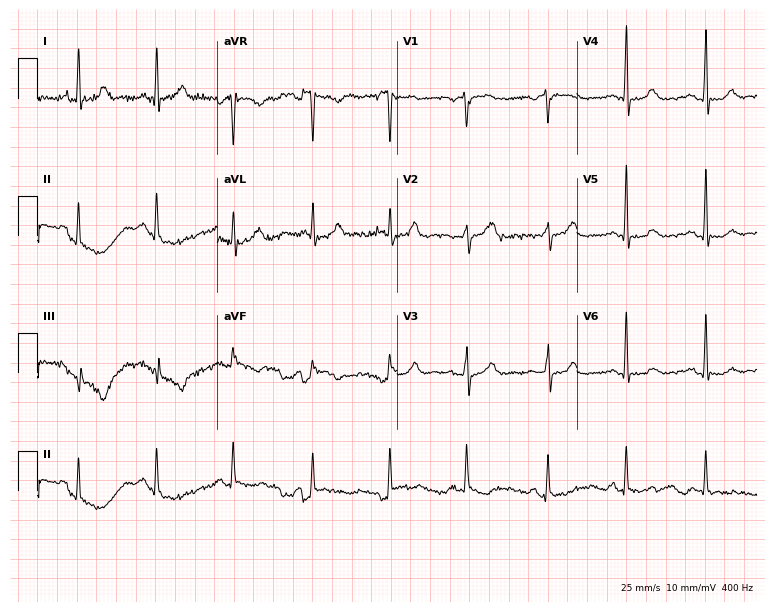
ECG (7.3-second recording at 400 Hz) — a 56-year-old woman. Screened for six findings — first-degree AV block, right bundle branch block, left bundle branch block, sinus bradycardia, atrial fibrillation, sinus tachycardia — none is recorded. Other findings, if any, are not listed.